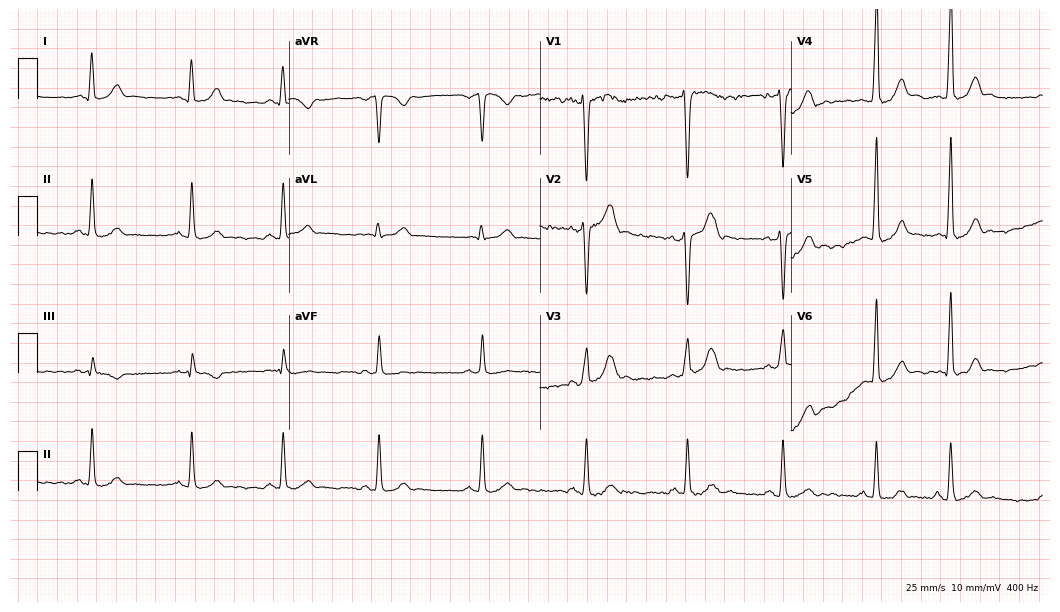
ECG (10.2-second recording at 400 Hz) — a male patient, 30 years old. Labelled as a normal ECG.